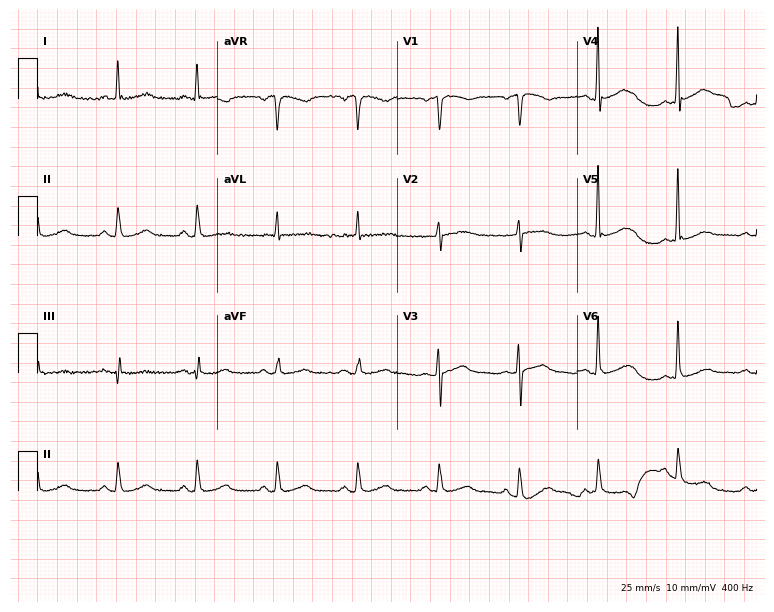
12-lead ECG from a woman, 73 years old (7.3-second recording at 400 Hz). No first-degree AV block, right bundle branch block (RBBB), left bundle branch block (LBBB), sinus bradycardia, atrial fibrillation (AF) or sinus tachycardia recorded for this tracing.